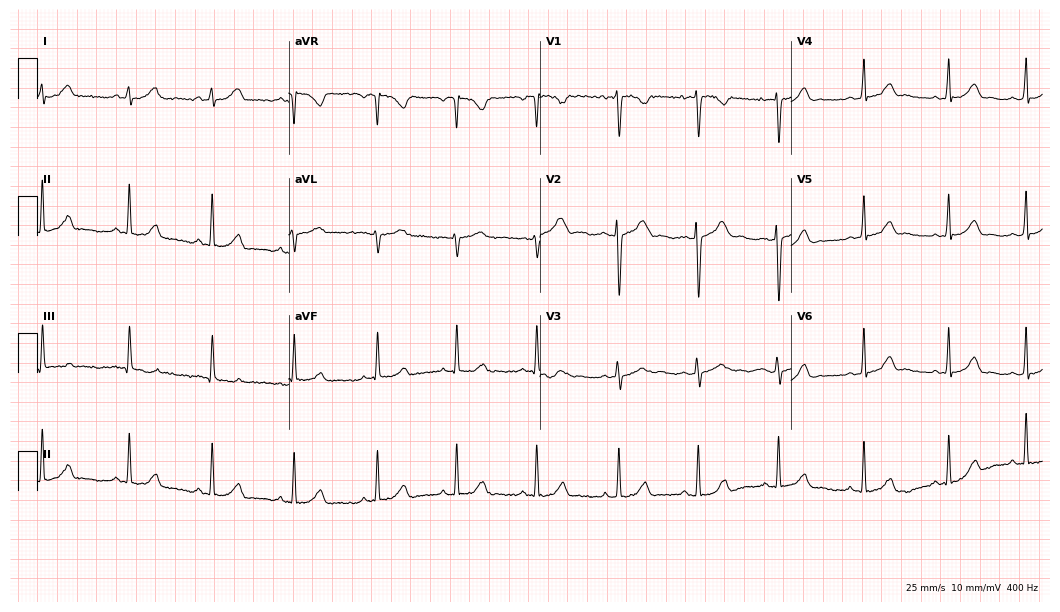
Electrocardiogram, a female, 19 years old. Of the six screened findings (first-degree AV block, right bundle branch block, left bundle branch block, sinus bradycardia, atrial fibrillation, sinus tachycardia), none is recorded. Other findings, if any, are not listed.